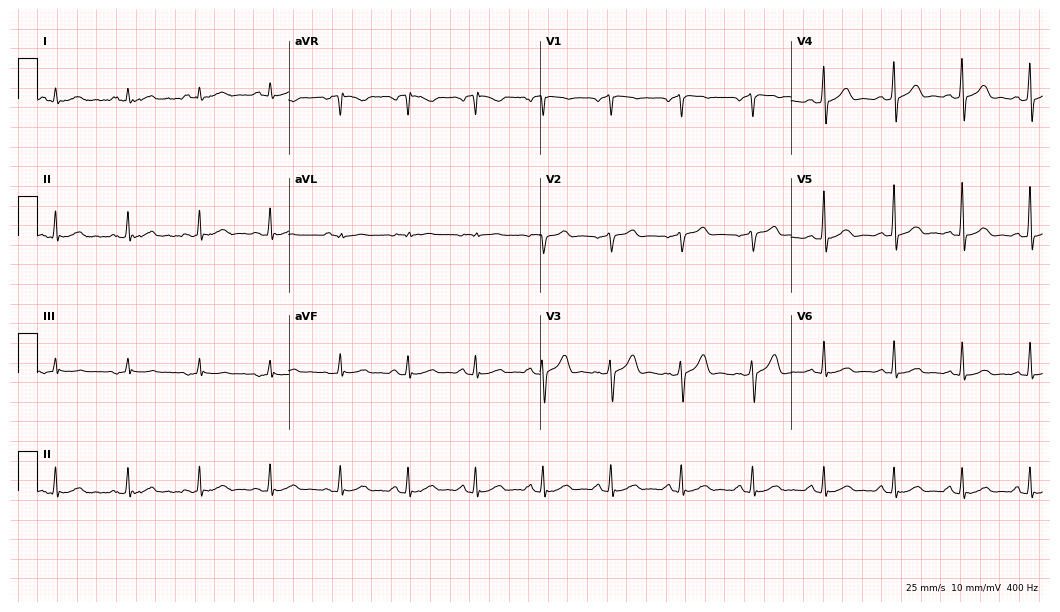
ECG — a 54-year-old man. Labelled as a normal ECG.